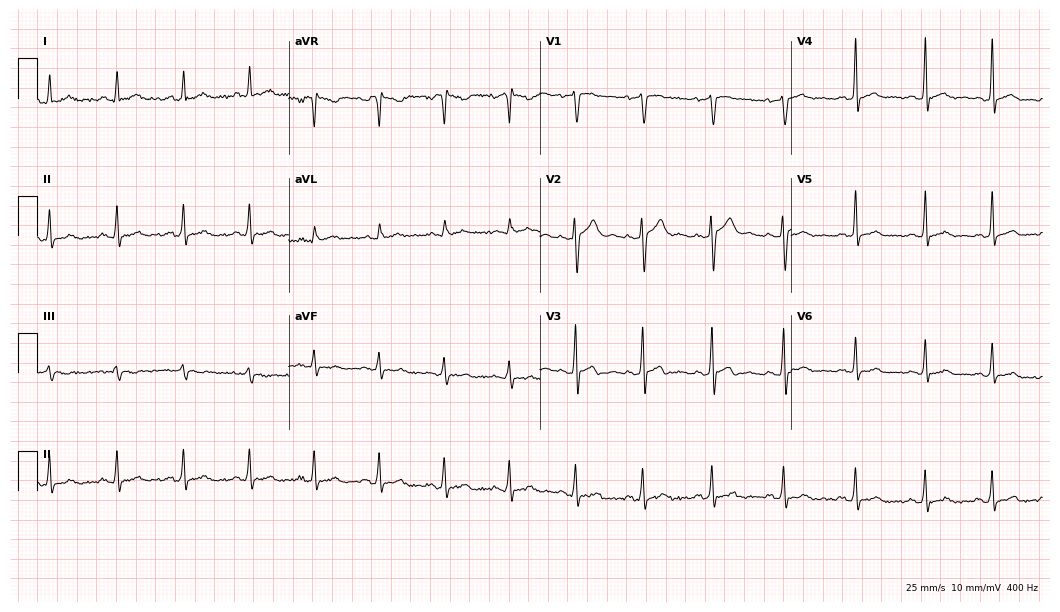
ECG (10.2-second recording at 400 Hz) — a man, 25 years old. Labelled as a normal ECG.